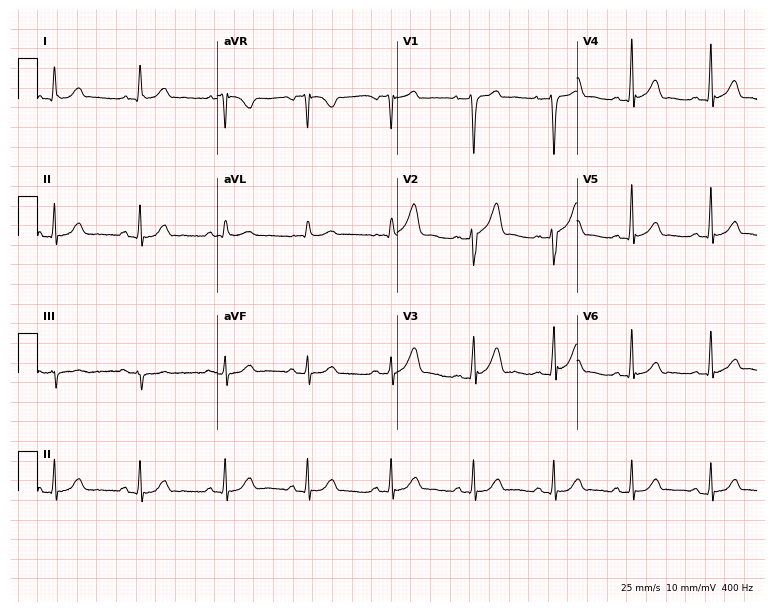
12-lead ECG from a male, 41 years old. No first-degree AV block, right bundle branch block, left bundle branch block, sinus bradycardia, atrial fibrillation or sinus tachycardia recorded for this tracing. Findings outside these six are not listed.